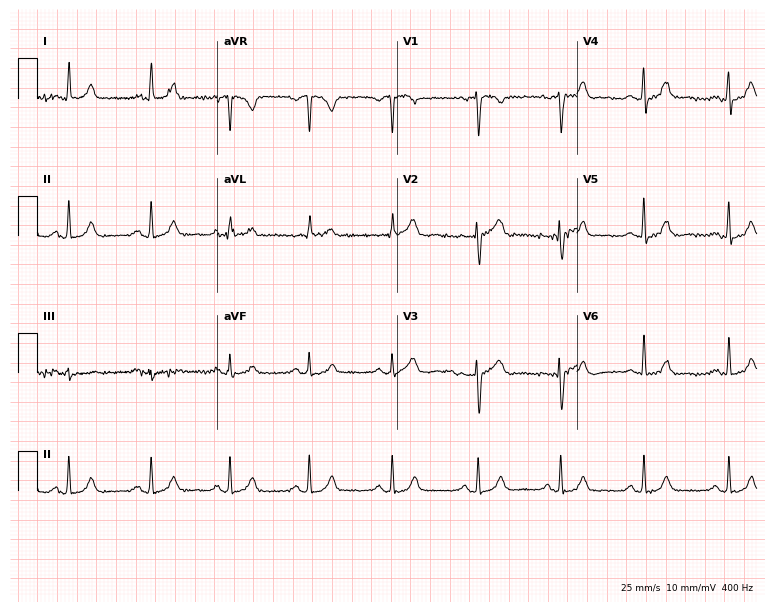
Standard 12-lead ECG recorded from a female, 38 years old (7.3-second recording at 400 Hz). None of these six findings is recorded: first-degree AV block, right bundle branch block (RBBB), left bundle branch block (LBBB), sinus bradycardia, atrial fibrillation (AF), sinus tachycardia.